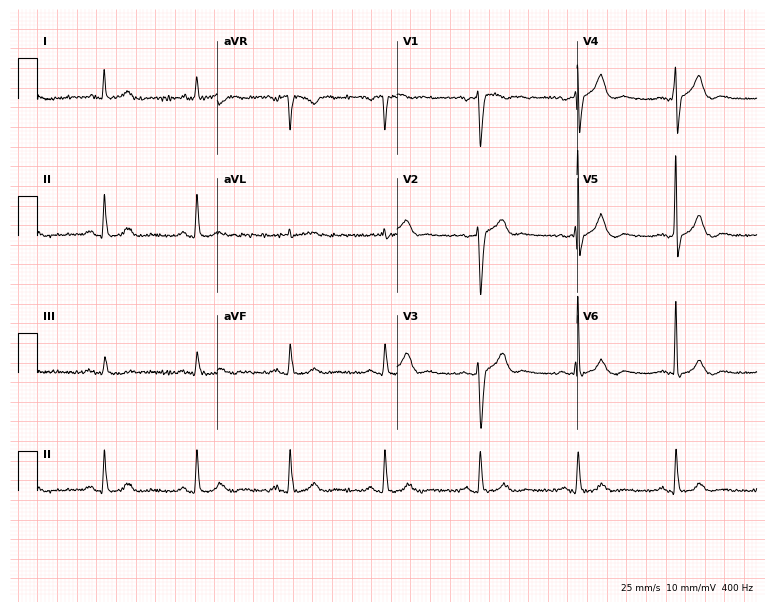
Resting 12-lead electrocardiogram. Patient: a 68-year-old male. None of these six findings is recorded: first-degree AV block, right bundle branch block, left bundle branch block, sinus bradycardia, atrial fibrillation, sinus tachycardia.